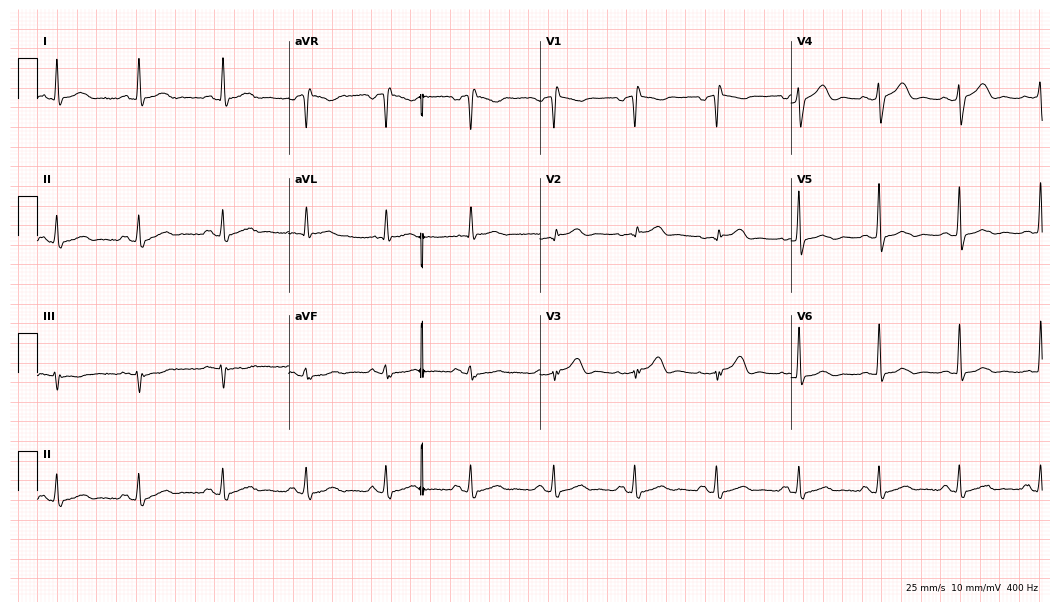
12-lead ECG (10.2-second recording at 400 Hz) from a 61-year-old female. Screened for six findings — first-degree AV block, right bundle branch block, left bundle branch block, sinus bradycardia, atrial fibrillation, sinus tachycardia — none is recorded. Only these six findings were labelled.